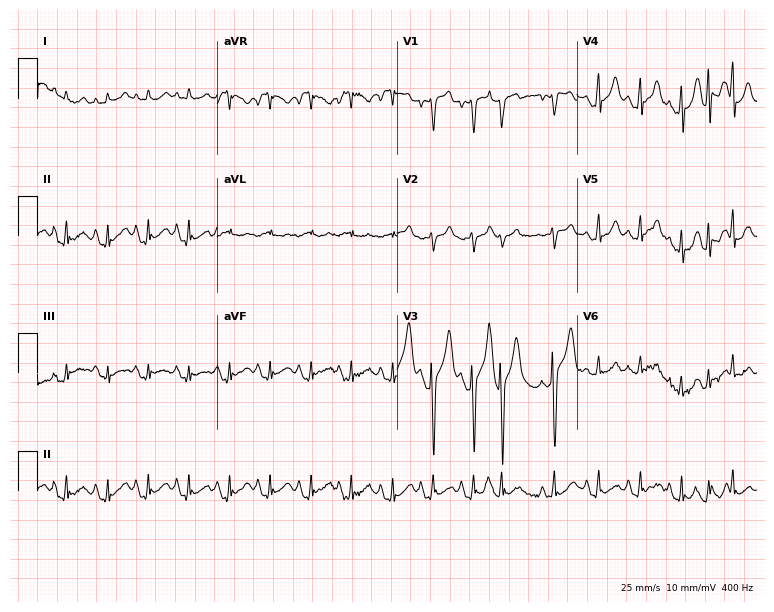
ECG — a female, 48 years old. Findings include sinus tachycardia (a sinus rate of 100 beats per minute or more).